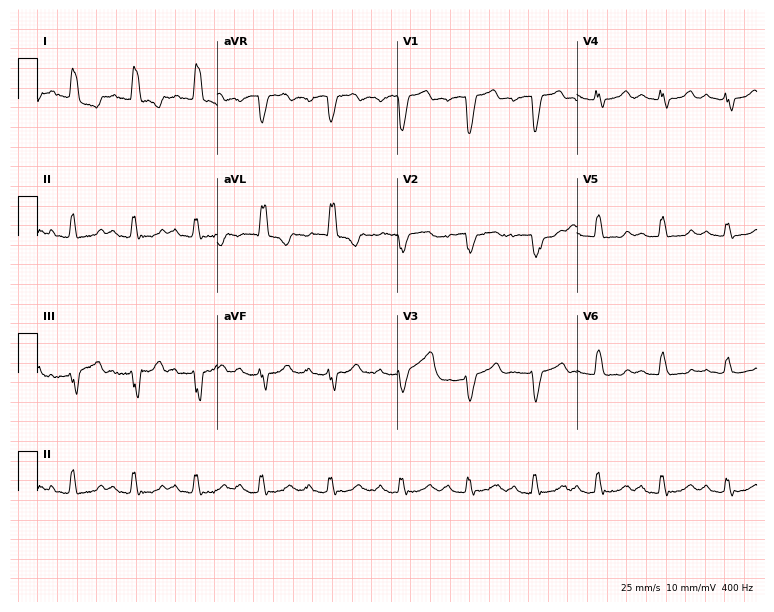
ECG — a female, 70 years old. Findings include first-degree AV block, left bundle branch block (LBBB).